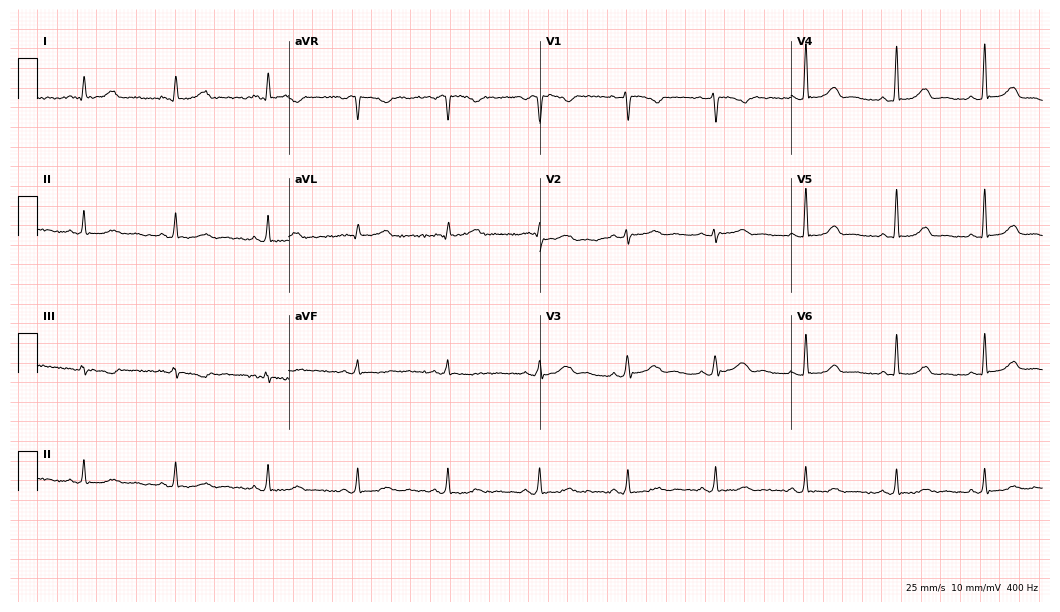
12-lead ECG from a female patient, 46 years old. Labelled as a normal ECG.